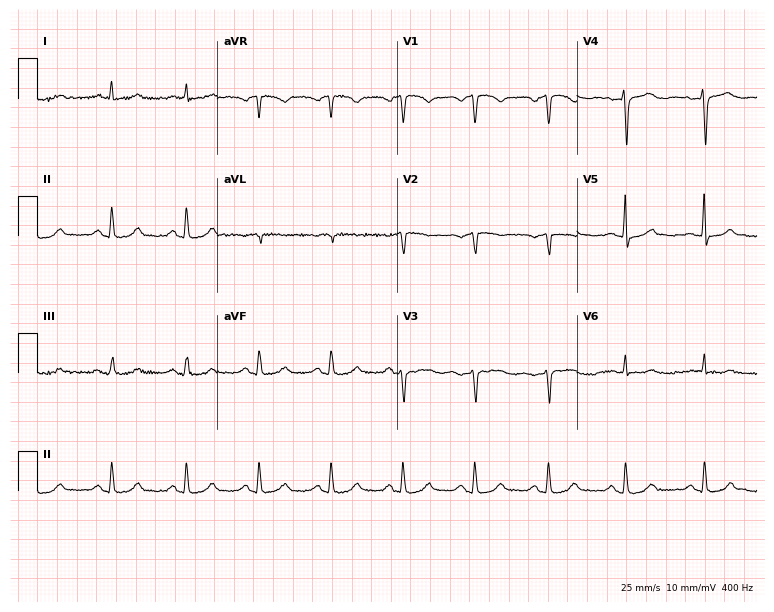
Standard 12-lead ECG recorded from a female, 72 years old (7.3-second recording at 400 Hz). None of these six findings is recorded: first-degree AV block, right bundle branch block (RBBB), left bundle branch block (LBBB), sinus bradycardia, atrial fibrillation (AF), sinus tachycardia. Other findings, if any, are not listed.